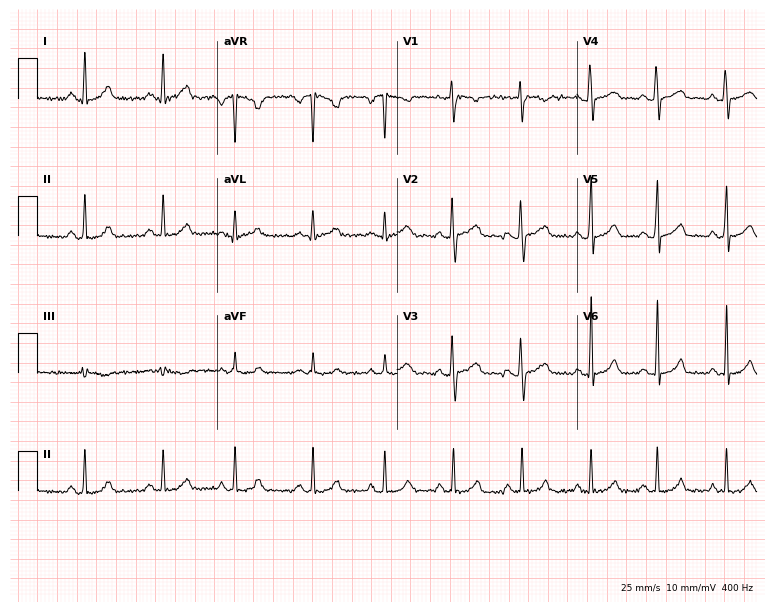
Standard 12-lead ECG recorded from a 25-year-old female patient. None of these six findings is recorded: first-degree AV block, right bundle branch block, left bundle branch block, sinus bradycardia, atrial fibrillation, sinus tachycardia. Findings outside these six are not listed.